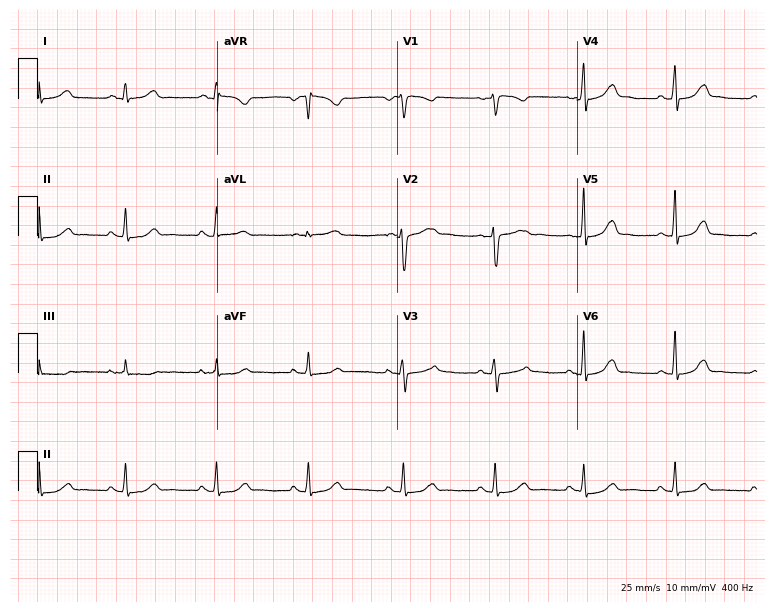
Resting 12-lead electrocardiogram (7.3-second recording at 400 Hz). Patient: a woman, 29 years old. Read as a normal ECG.